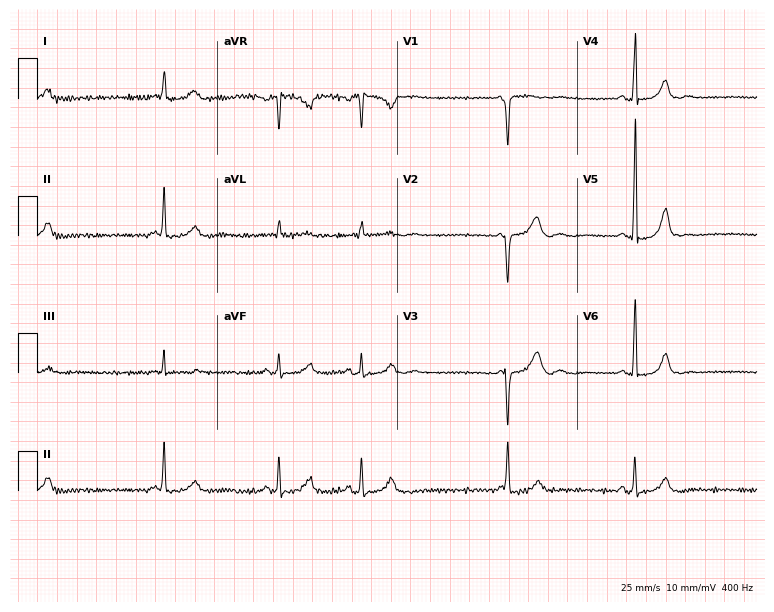
12-lead ECG from a woman, 28 years old. No first-degree AV block, right bundle branch block (RBBB), left bundle branch block (LBBB), sinus bradycardia, atrial fibrillation (AF) or sinus tachycardia recorded for this tracing. Other findings, if any, are not listed.